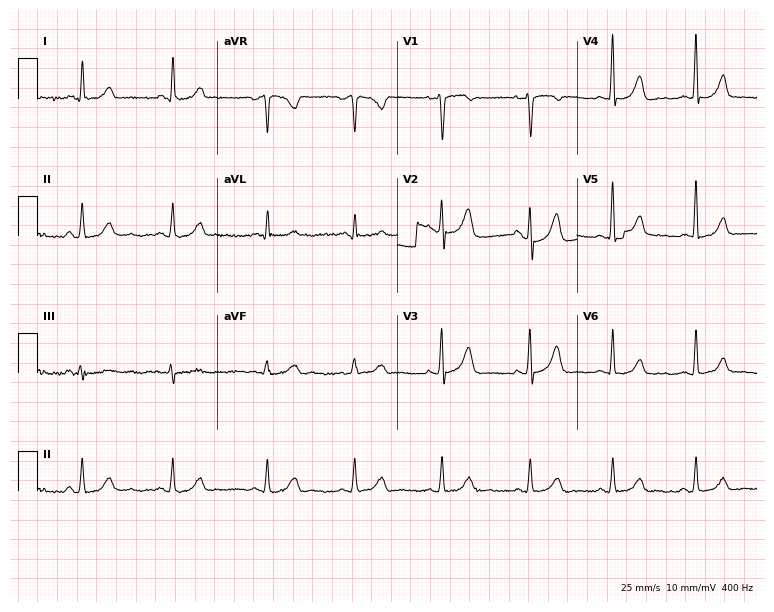
Electrocardiogram, a 37-year-old female. Of the six screened findings (first-degree AV block, right bundle branch block, left bundle branch block, sinus bradycardia, atrial fibrillation, sinus tachycardia), none is recorded.